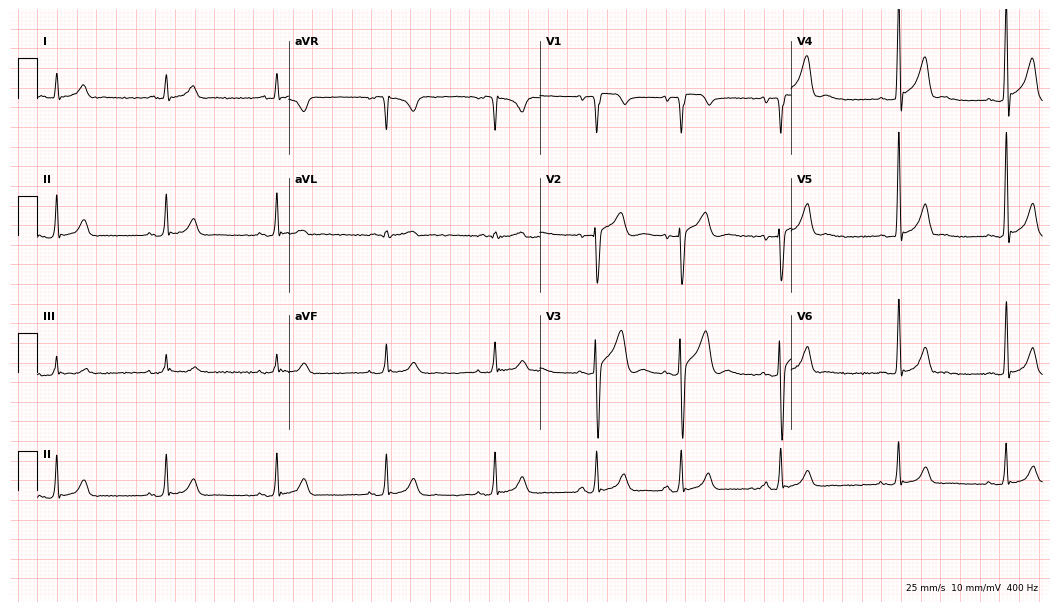
Electrocardiogram (10.2-second recording at 400 Hz), a man, 24 years old. Of the six screened findings (first-degree AV block, right bundle branch block (RBBB), left bundle branch block (LBBB), sinus bradycardia, atrial fibrillation (AF), sinus tachycardia), none is recorded.